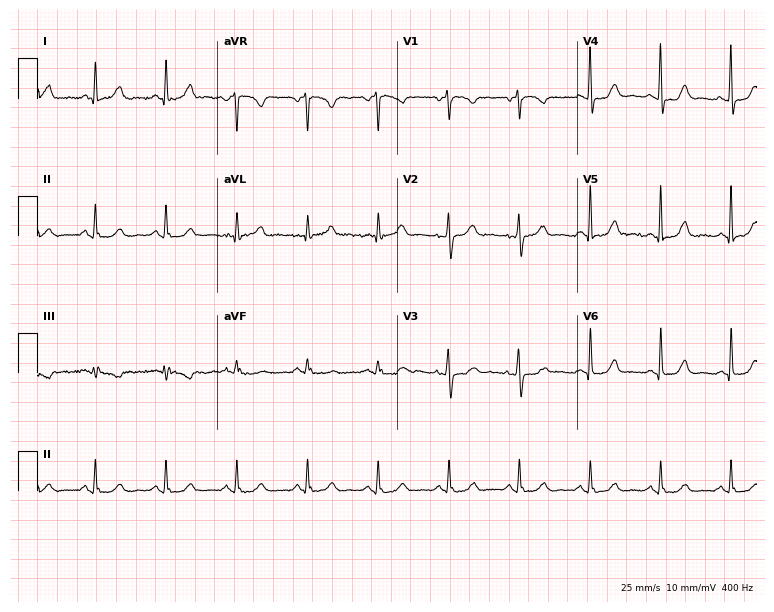
12-lead ECG from a female, 76 years old. Recorded interpretation: within normal limits.